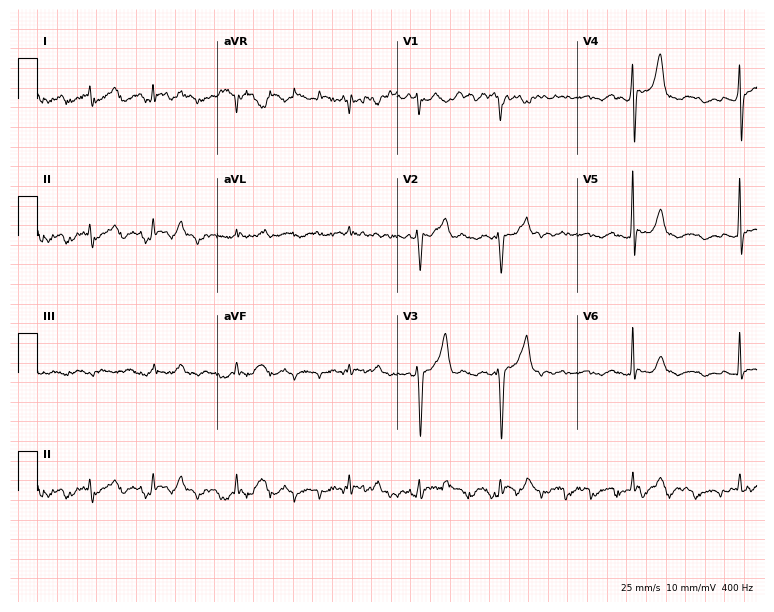
Electrocardiogram, a male, 76 years old. Of the six screened findings (first-degree AV block, right bundle branch block (RBBB), left bundle branch block (LBBB), sinus bradycardia, atrial fibrillation (AF), sinus tachycardia), none is recorded.